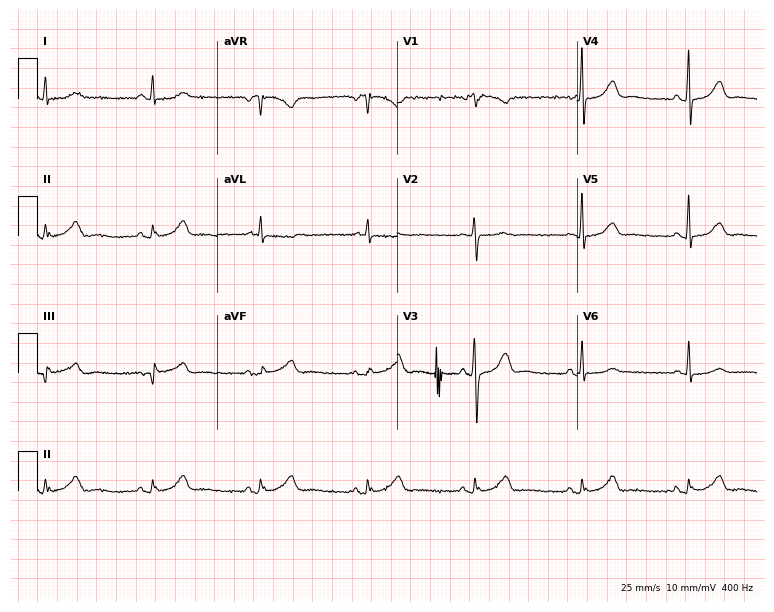
ECG (7.3-second recording at 400 Hz) — a 72-year-old man. Labelled as a normal ECG.